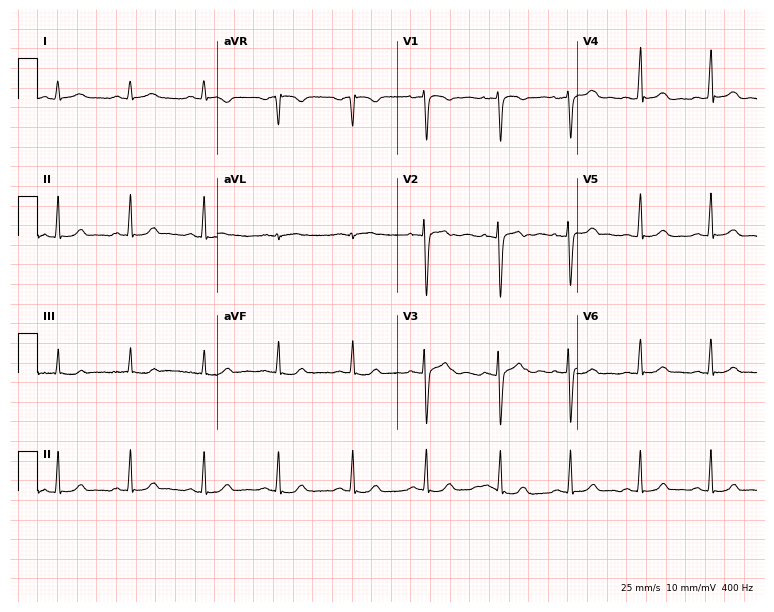
Electrocardiogram (7.3-second recording at 400 Hz), a 28-year-old woman. Overall reading on record: normal ECG.